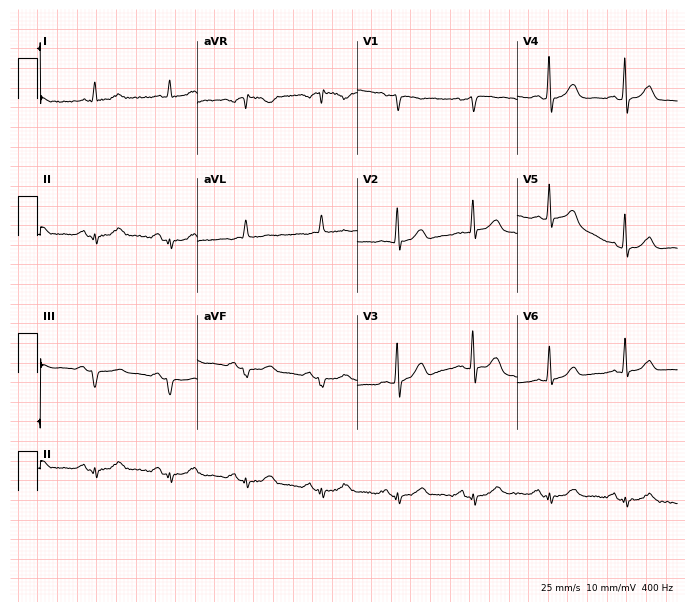
Standard 12-lead ECG recorded from a 78-year-old male. None of these six findings is recorded: first-degree AV block, right bundle branch block (RBBB), left bundle branch block (LBBB), sinus bradycardia, atrial fibrillation (AF), sinus tachycardia.